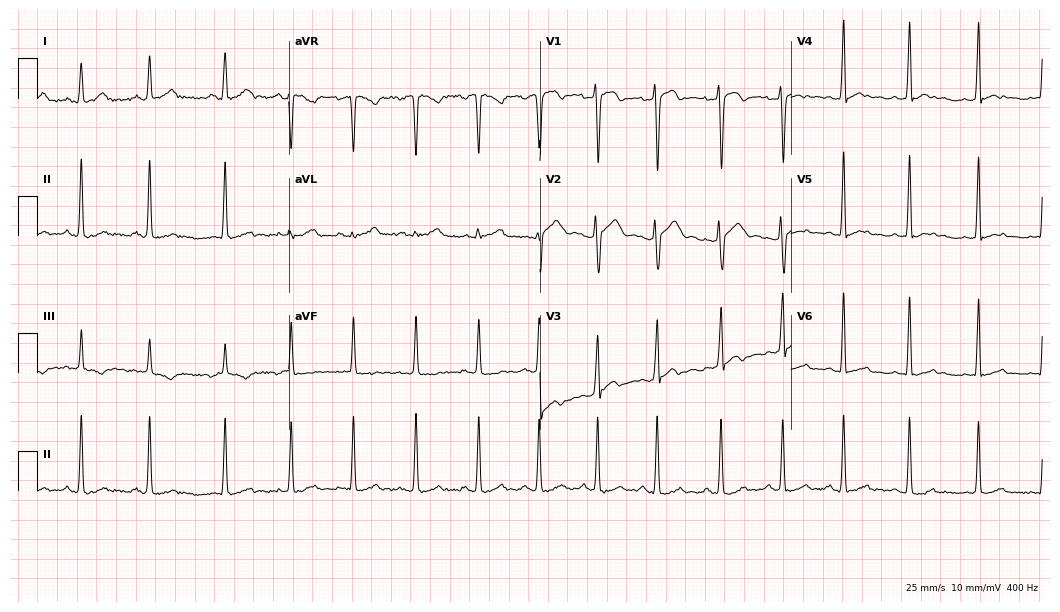
Resting 12-lead electrocardiogram. Patient: a male, 17 years old. None of these six findings is recorded: first-degree AV block, right bundle branch block, left bundle branch block, sinus bradycardia, atrial fibrillation, sinus tachycardia.